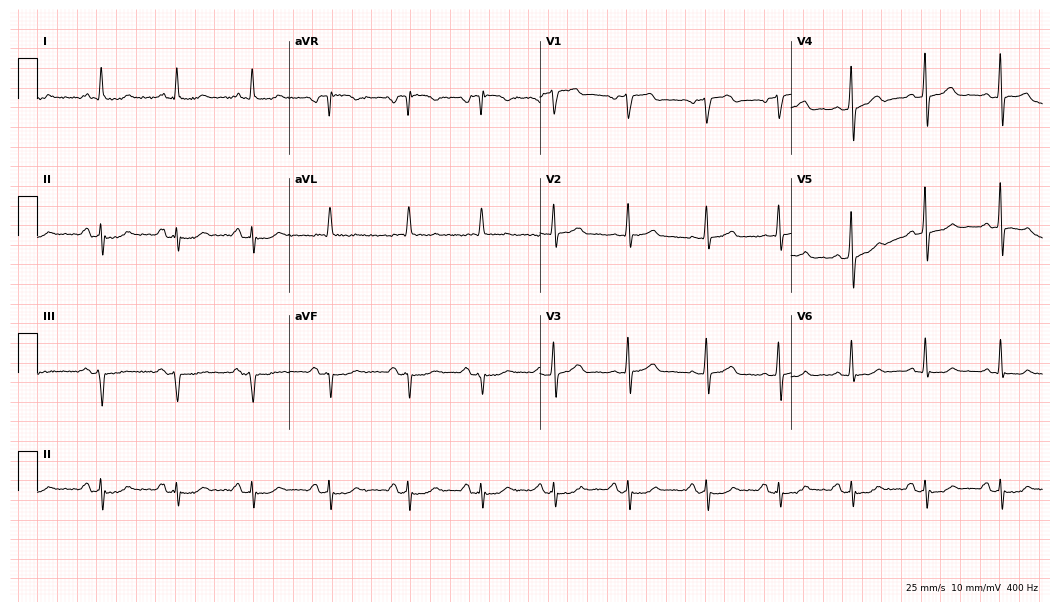
Standard 12-lead ECG recorded from a 60-year-old male. None of these six findings is recorded: first-degree AV block, right bundle branch block, left bundle branch block, sinus bradycardia, atrial fibrillation, sinus tachycardia. Findings outside these six are not listed.